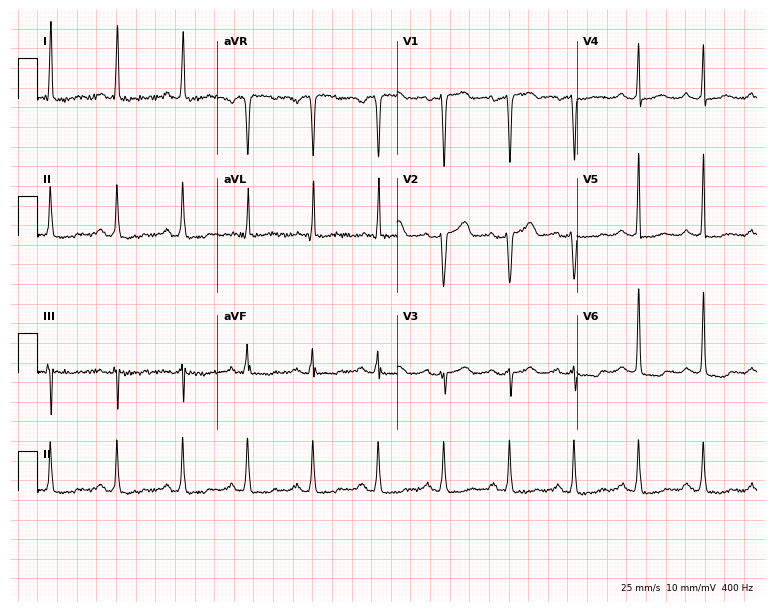
12-lead ECG (7.3-second recording at 400 Hz) from a female patient, 48 years old. Screened for six findings — first-degree AV block, right bundle branch block (RBBB), left bundle branch block (LBBB), sinus bradycardia, atrial fibrillation (AF), sinus tachycardia — none is recorded. Findings outside these six are not listed.